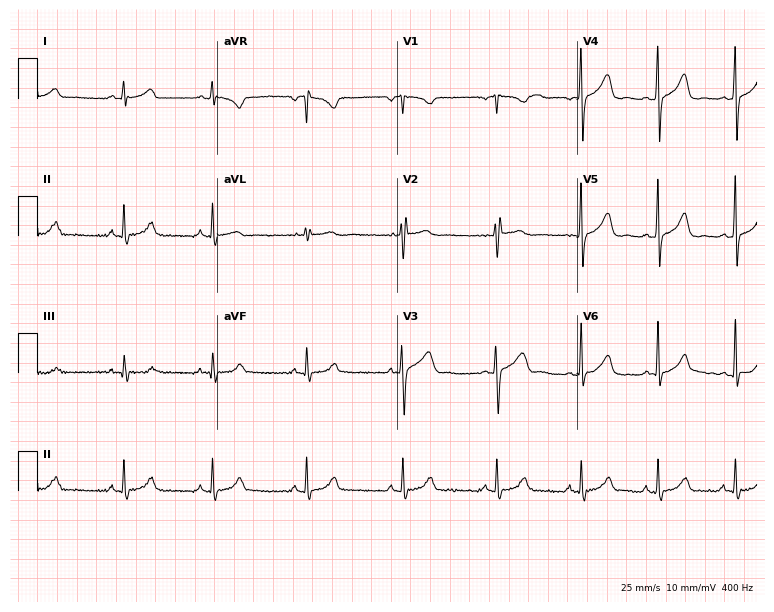
12-lead ECG from a 17-year-old female. Recorded interpretation: within normal limits.